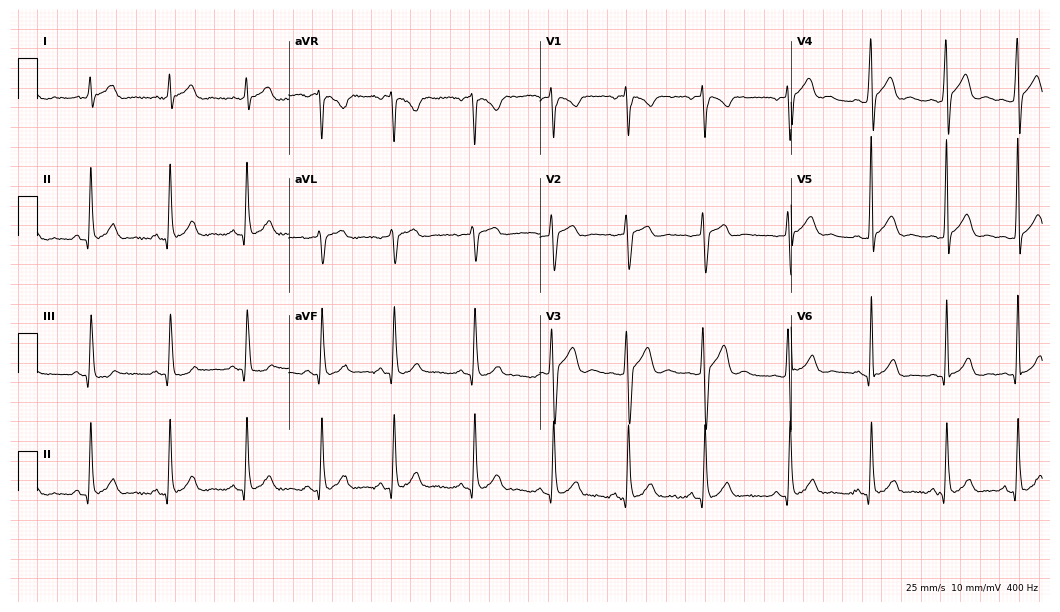
Standard 12-lead ECG recorded from an 18-year-old man. Read as a normal ECG.